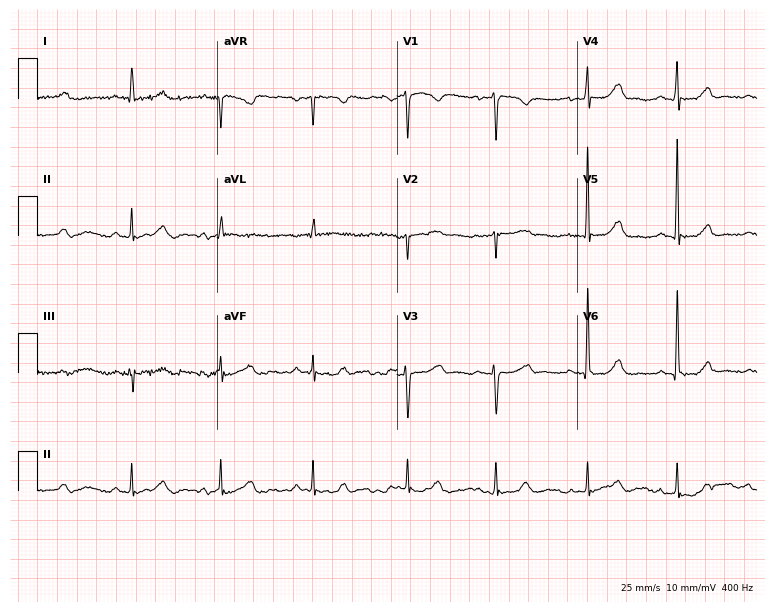
ECG — a woman, 48 years old. Screened for six findings — first-degree AV block, right bundle branch block, left bundle branch block, sinus bradycardia, atrial fibrillation, sinus tachycardia — none is recorded. Findings outside these six are not listed.